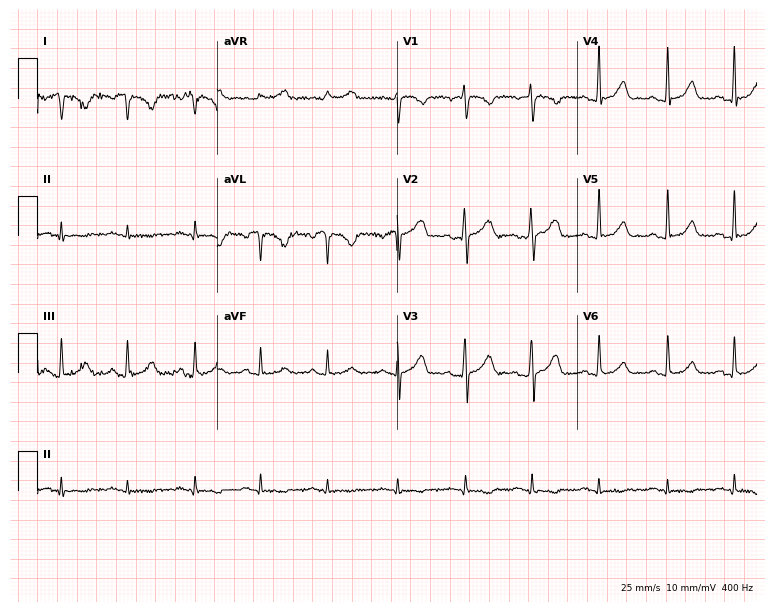
12-lead ECG (7.3-second recording at 400 Hz) from a female patient, 28 years old. Screened for six findings — first-degree AV block, right bundle branch block, left bundle branch block, sinus bradycardia, atrial fibrillation, sinus tachycardia — none is recorded. Other findings, if any, are not listed.